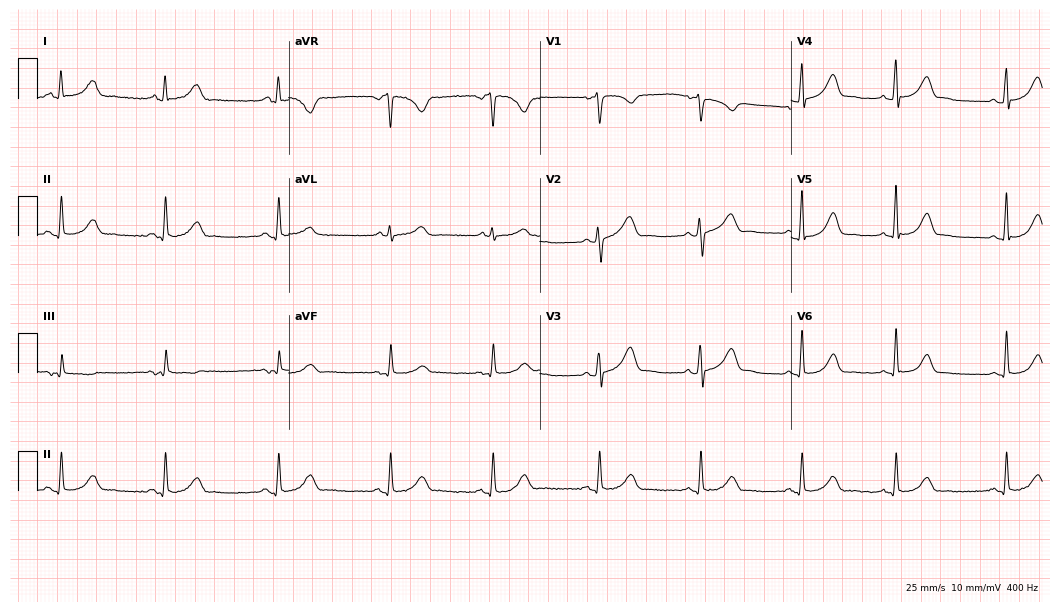
12-lead ECG (10.2-second recording at 400 Hz) from a man, 35 years old. Labelled as a normal ECG.